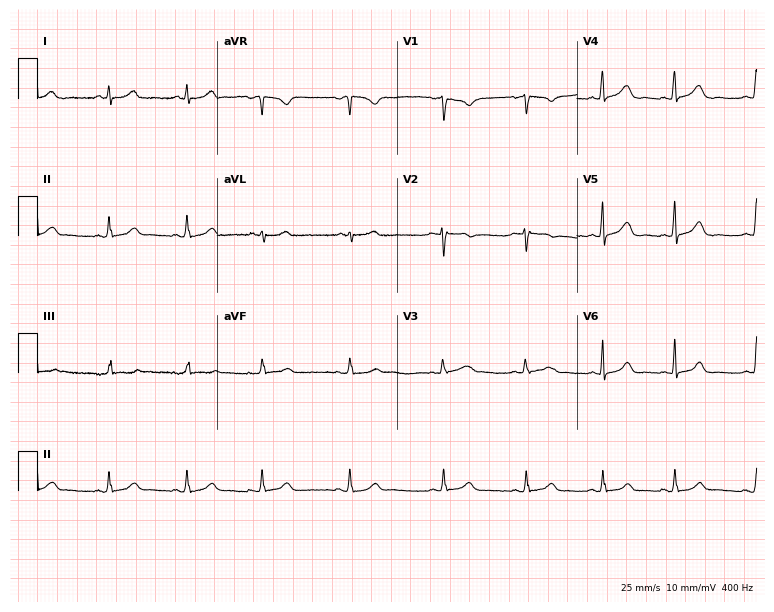
Electrocardiogram, a woman, 28 years old. Of the six screened findings (first-degree AV block, right bundle branch block (RBBB), left bundle branch block (LBBB), sinus bradycardia, atrial fibrillation (AF), sinus tachycardia), none is recorded.